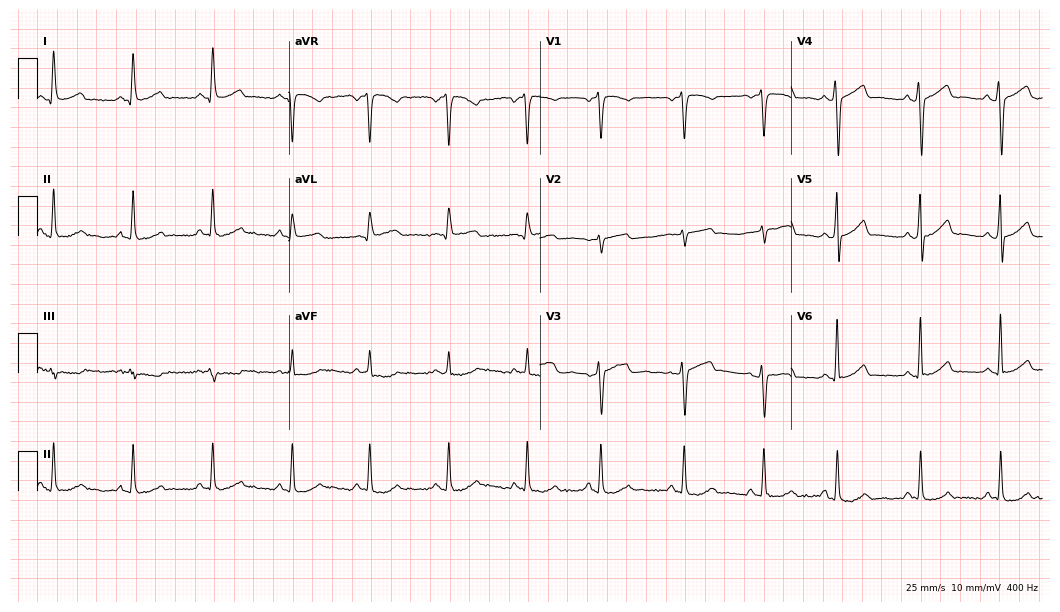
ECG — a female patient, 46 years old. Labelled as a normal ECG.